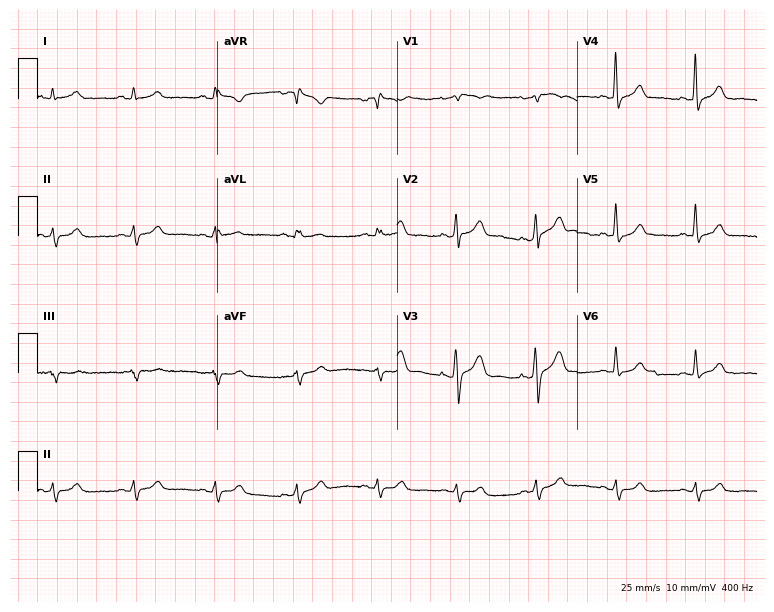
Resting 12-lead electrocardiogram (7.3-second recording at 400 Hz). Patient: a 57-year-old woman. Read as a normal ECG.